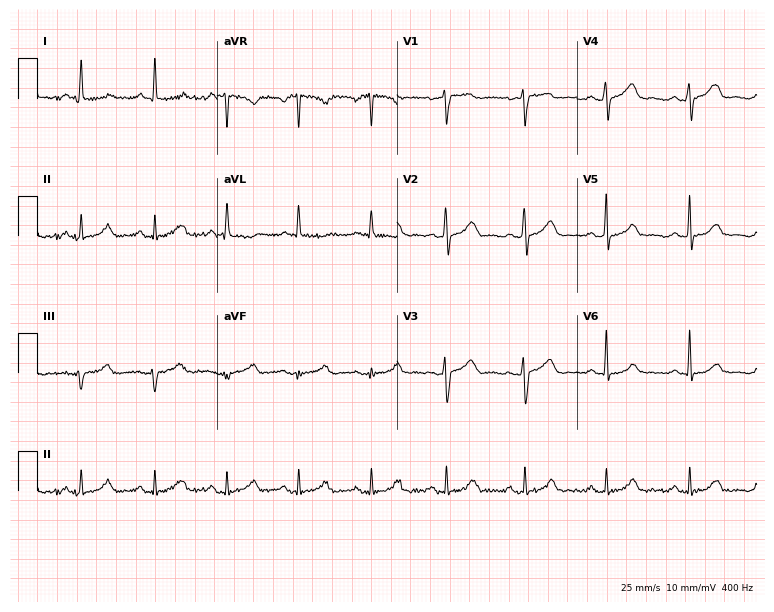
ECG (7.3-second recording at 400 Hz) — a 52-year-old female patient. Labelled as a normal ECG.